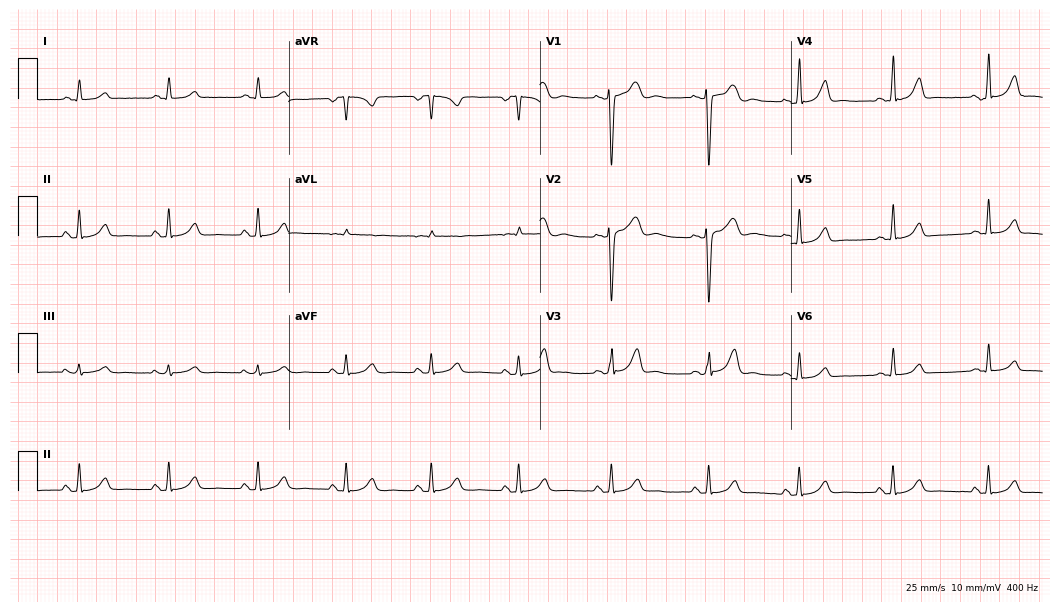
Resting 12-lead electrocardiogram (10.2-second recording at 400 Hz). Patient: a 24-year-old female. Read as a normal ECG.